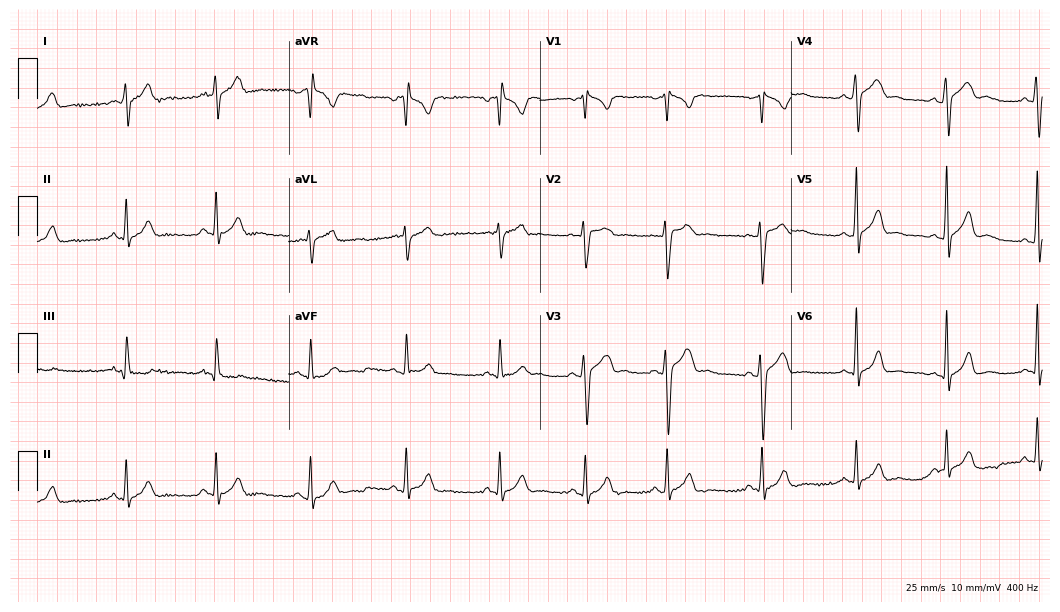
Resting 12-lead electrocardiogram. Patient: a 23-year-old man. None of these six findings is recorded: first-degree AV block, right bundle branch block (RBBB), left bundle branch block (LBBB), sinus bradycardia, atrial fibrillation (AF), sinus tachycardia.